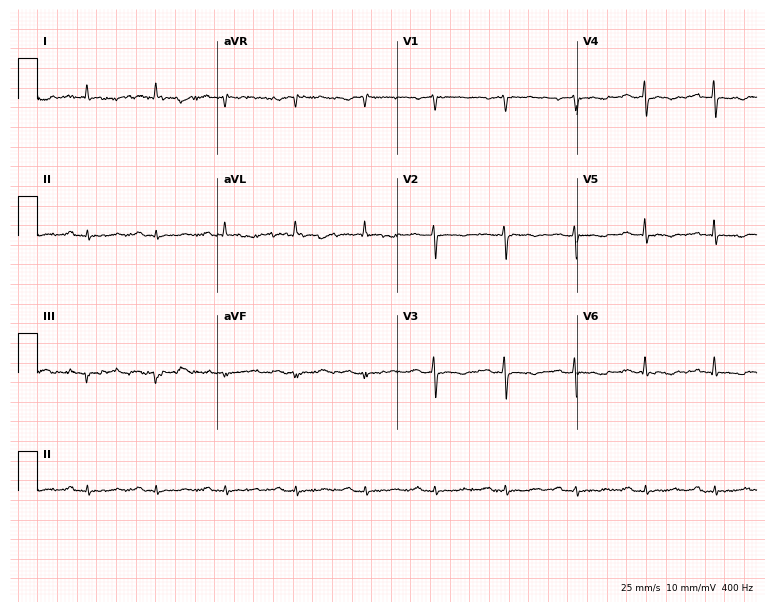
ECG — a woman, 55 years old. Screened for six findings — first-degree AV block, right bundle branch block, left bundle branch block, sinus bradycardia, atrial fibrillation, sinus tachycardia — none is recorded. Findings outside these six are not listed.